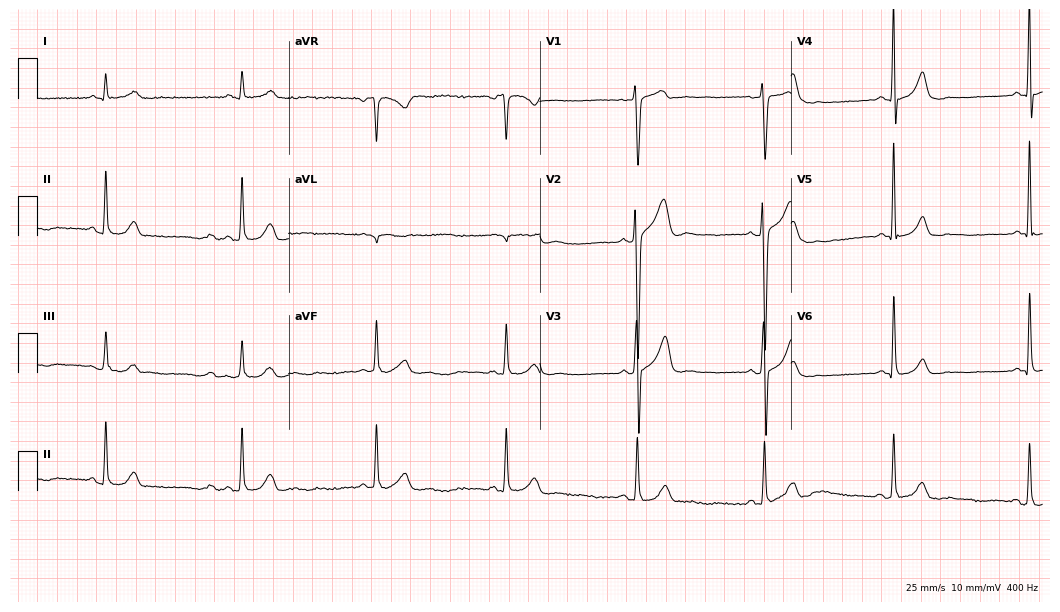
ECG (10.2-second recording at 400 Hz) — a 40-year-old male patient. Findings include sinus bradycardia (a sinus rate of 50 beats per minute or less).